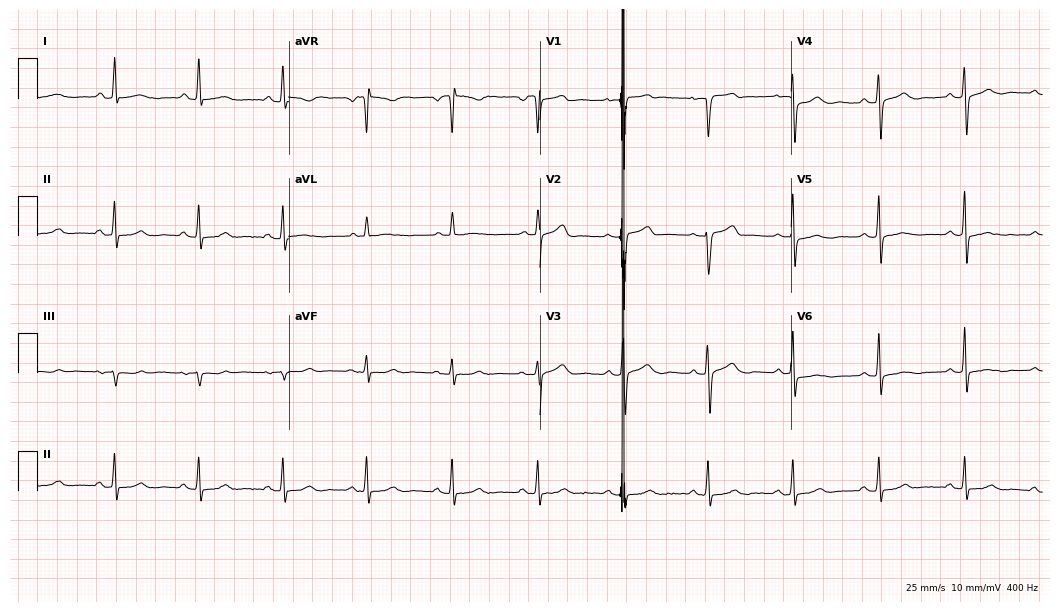
Electrocardiogram, a 54-year-old female. Overall reading on record: normal ECG.